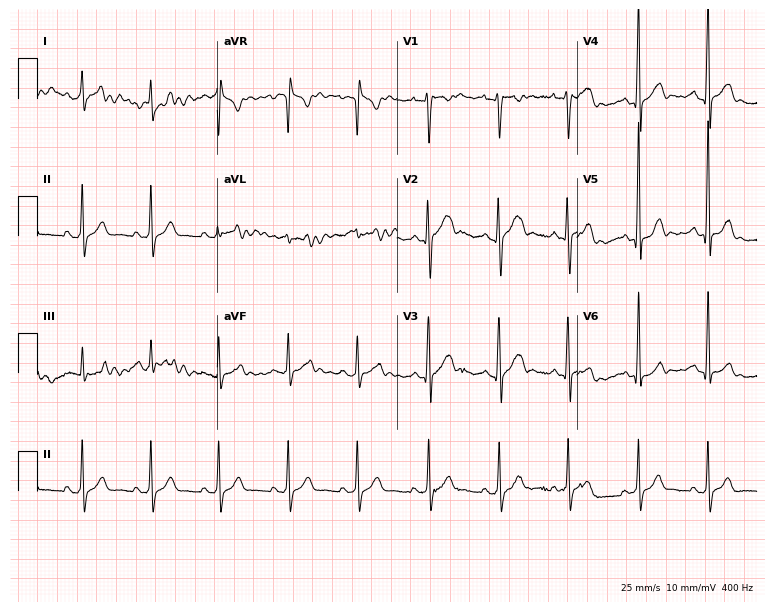
12-lead ECG (7.3-second recording at 400 Hz) from a 24-year-old male patient. Labelled as a normal ECG.